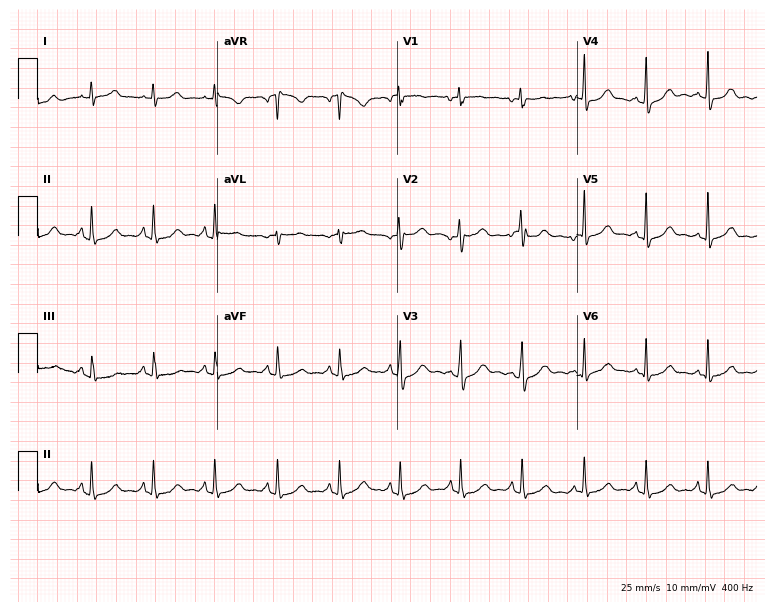
Standard 12-lead ECG recorded from a 40-year-old female patient (7.3-second recording at 400 Hz). Read as a normal ECG.